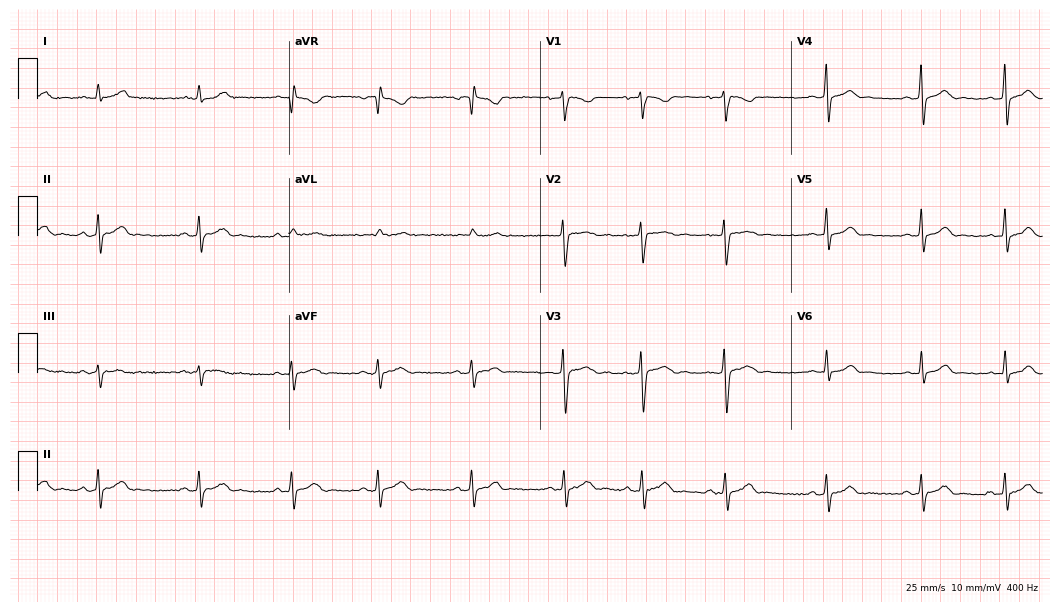
12-lead ECG from a female, 22 years old (10.2-second recording at 400 Hz). Recorded interpretation: within normal limits.